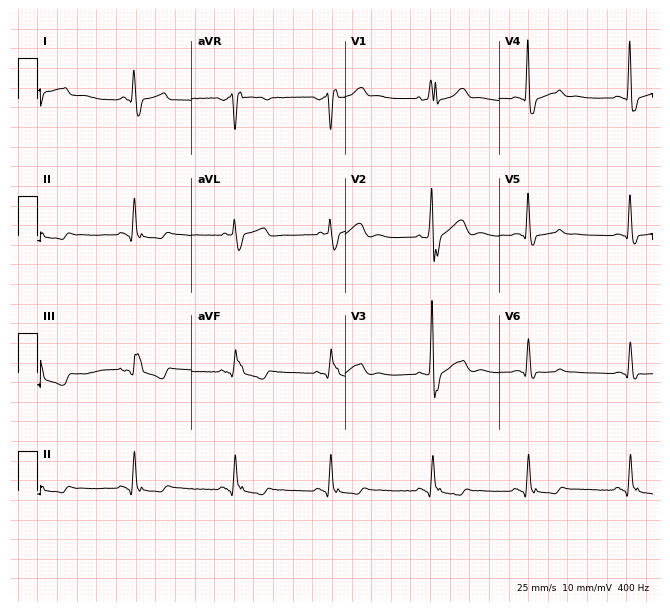
12-lead ECG (6.3-second recording at 400 Hz) from a 65-year-old male. Findings include right bundle branch block.